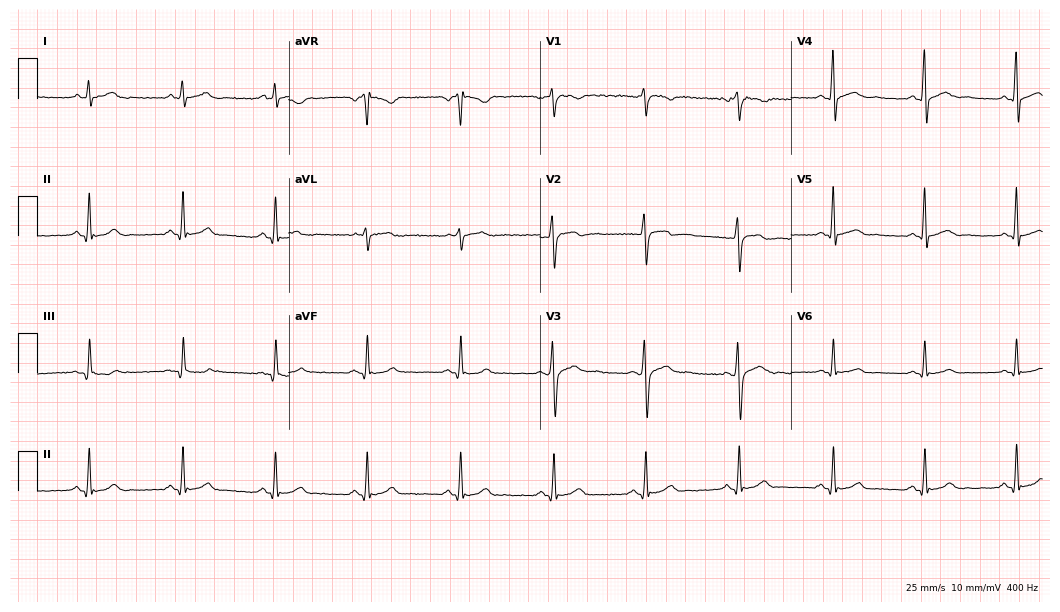
Electrocardiogram, a male, 39 years old. Of the six screened findings (first-degree AV block, right bundle branch block (RBBB), left bundle branch block (LBBB), sinus bradycardia, atrial fibrillation (AF), sinus tachycardia), none is recorded.